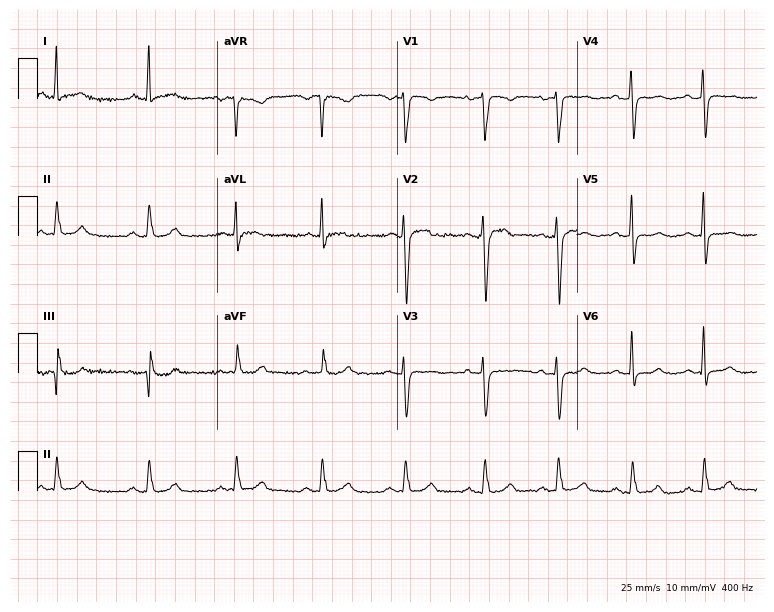
Standard 12-lead ECG recorded from a 36-year-old female patient. None of these six findings is recorded: first-degree AV block, right bundle branch block, left bundle branch block, sinus bradycardia, atrial fibrillation, sinus tachycardia. Findings outside these six are not listed.